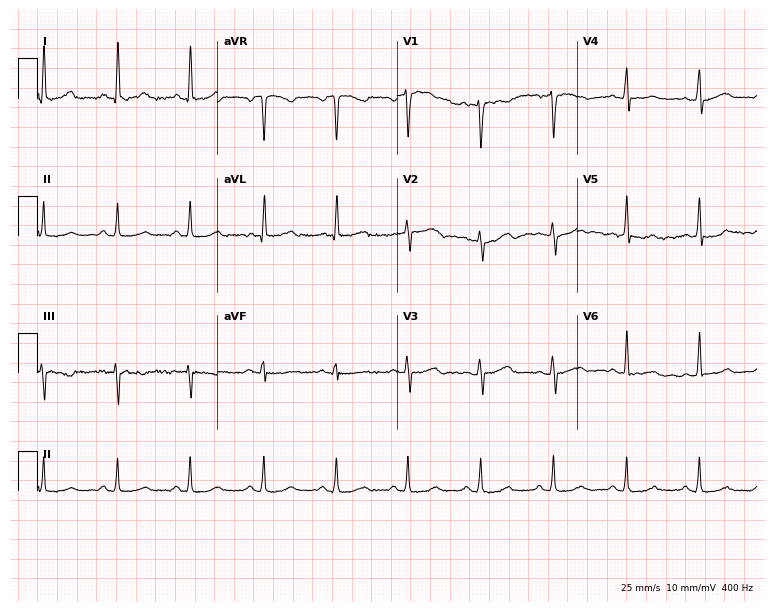
Standard 12-lead ECG recorded from a woman, 43 years old. Read as a normal ECG.